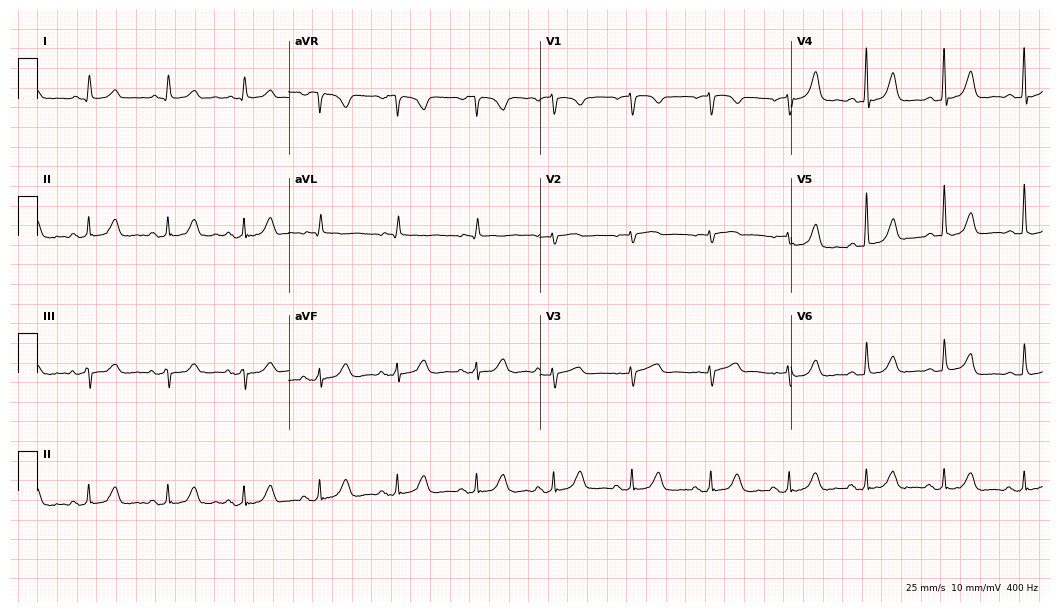
Standard 12-lead ECG recorded from a female patient, 72 years old (10.2-second recording at 400 Hz). Read as a normal ECG.